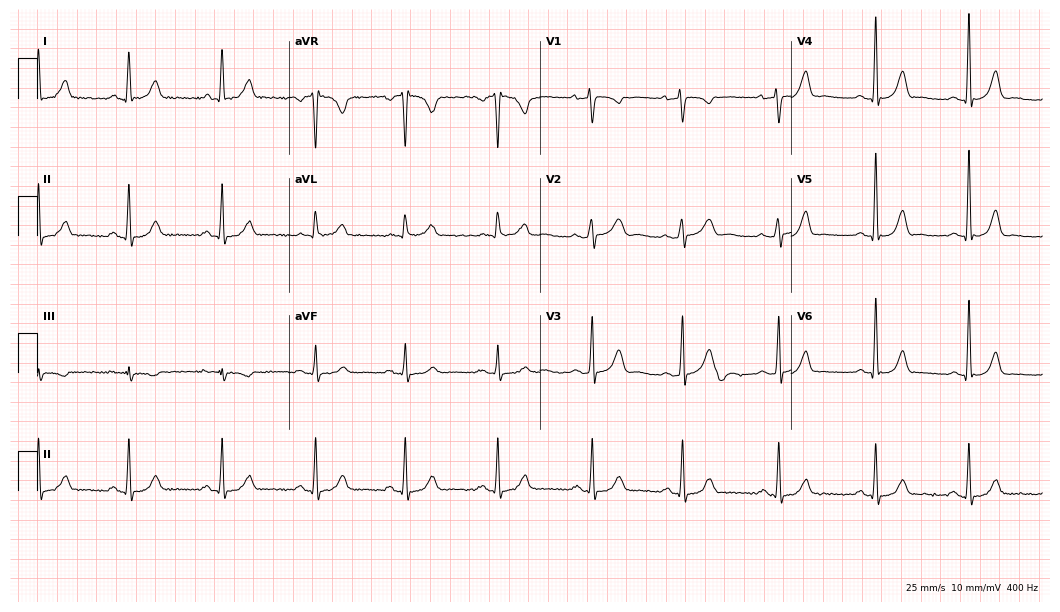
Resting 12-lead electrocardiogram. Patient: a woman, 51 years old. Read as a normal ECG.